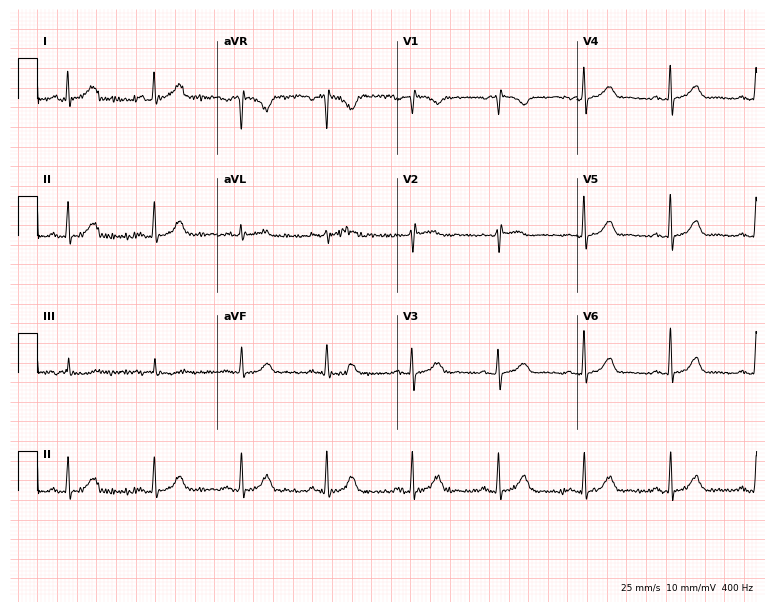
Standard 12-lead ECG recorded from a female, 63 years old (7.3-second recording at 400 Hz). Read as a normal ECG.